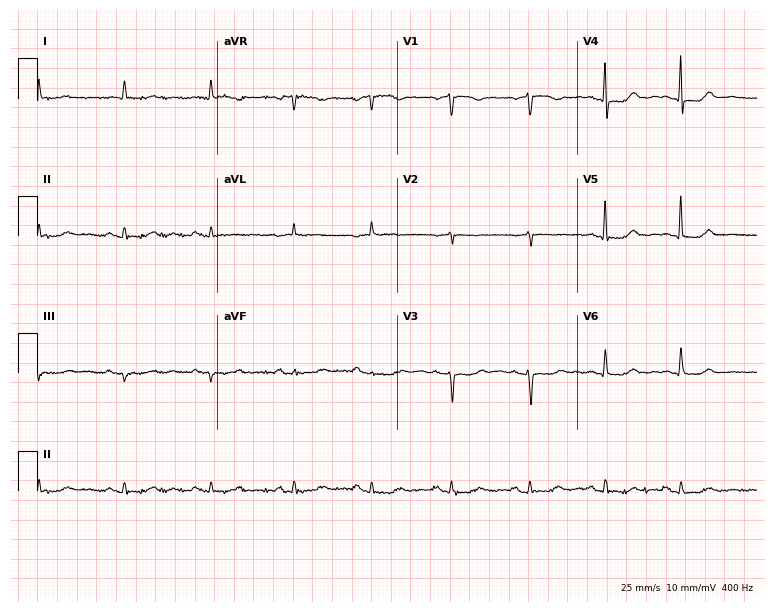
Electrocardiogram, an 84-year-old female patient. Of the six screened findings (first-degree AV block, right bundle branch block, left bundle branch block, sinus bradycardia, atrial fibrillation, sinus tachycardia), none is recorded. Other findings, if any, are not listed.